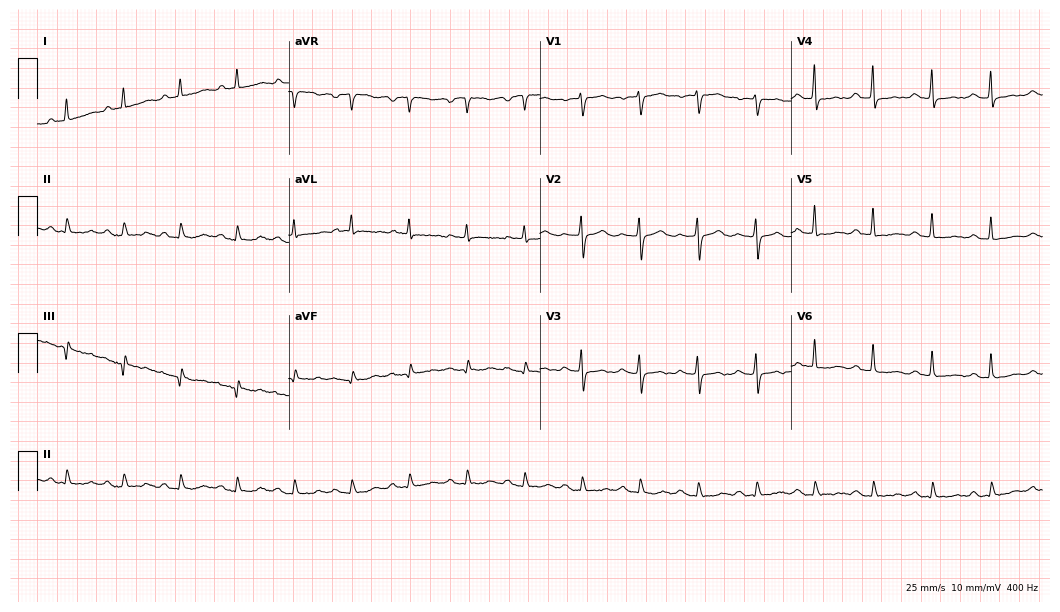
12-lead ECG from a woman, 73 years old. No first-degree AV block, right bundle branch block (RBBB), left bundle branch block (LBBB), sinus bradycardia, atrial fibrillation (AF) or sinus tachycardia recorded for this tracing. Findings outside these six are not listed.